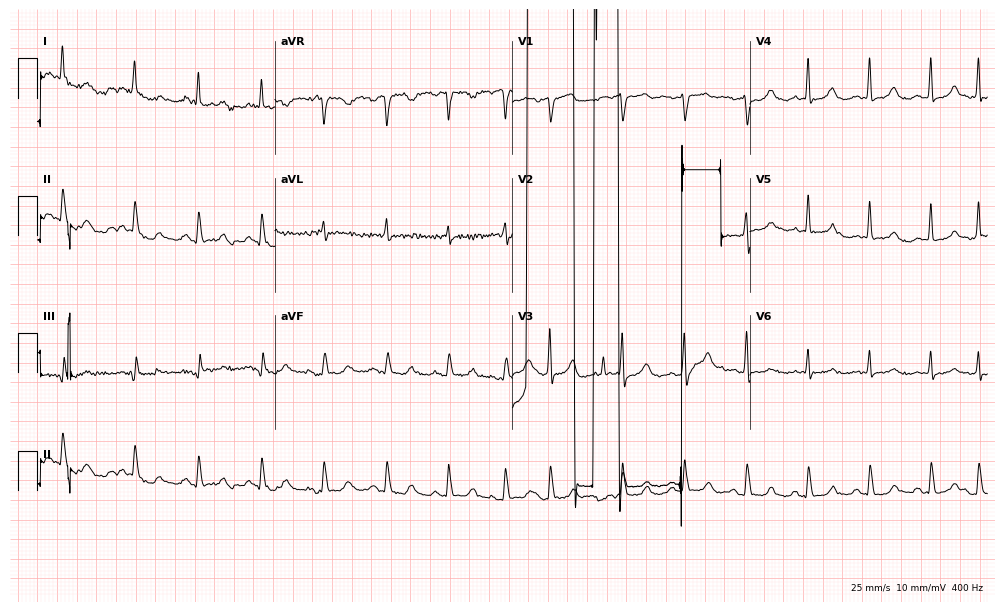
12-lead ECG (9.7-second recording at 400 Hz) from a 63-year-old female patient. Screened for six findings — first-degree AV block, right bundle branch block (RBBB), left bundle branch block (LBBB), sinus bradycardia, atrial fibrillation (AF), sinus tachycardia — none is recorded. Other findings, if any, are not listed.